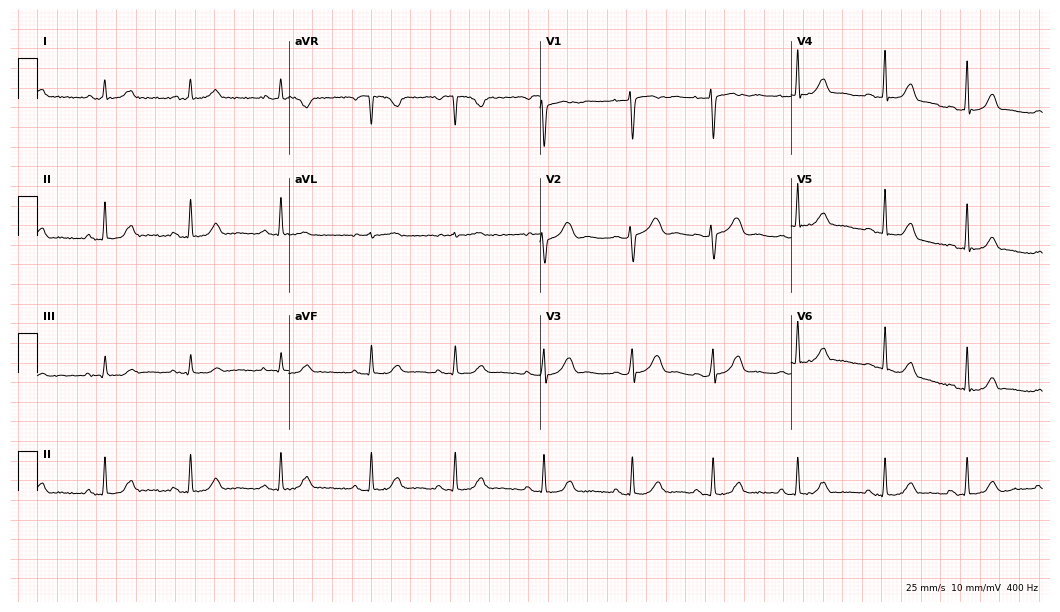
Resting 12-lead electrocardiogram (10.2-second recording at 400 Hz). Patient: a female, 43 years old. None of these six findings is recorded: first-degree AV block, right bundle branch block, left bundle branch block, sinus bradycardia, atrial fibrillation, sinus tachycardia.